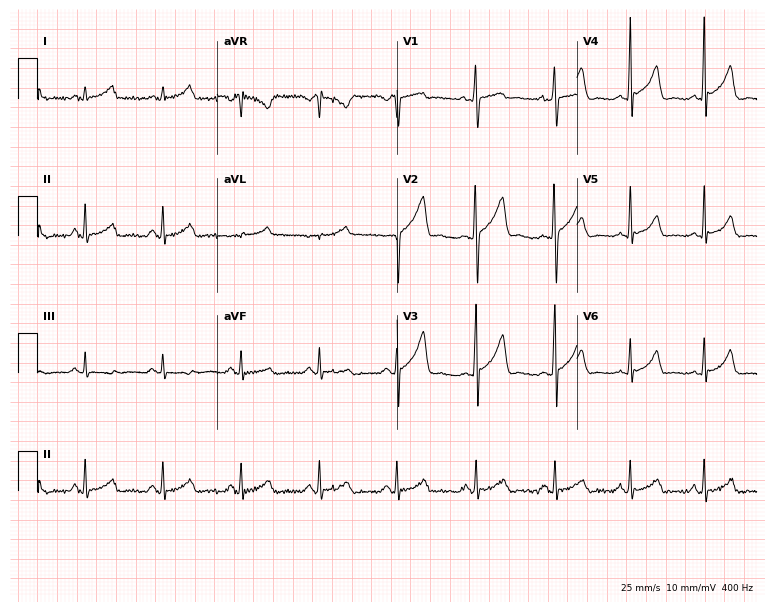
Resting 12-lead electrocardiogram. Patient: a male, 50 years old. None of these six findings is recorded: first-degree AV block, right bundle branch block (RBBB), left bundle branch block (LBBB), sinus bradycardia, atrial fibrillation (AF), sinus tachycardia. Only these six findings were labelled.